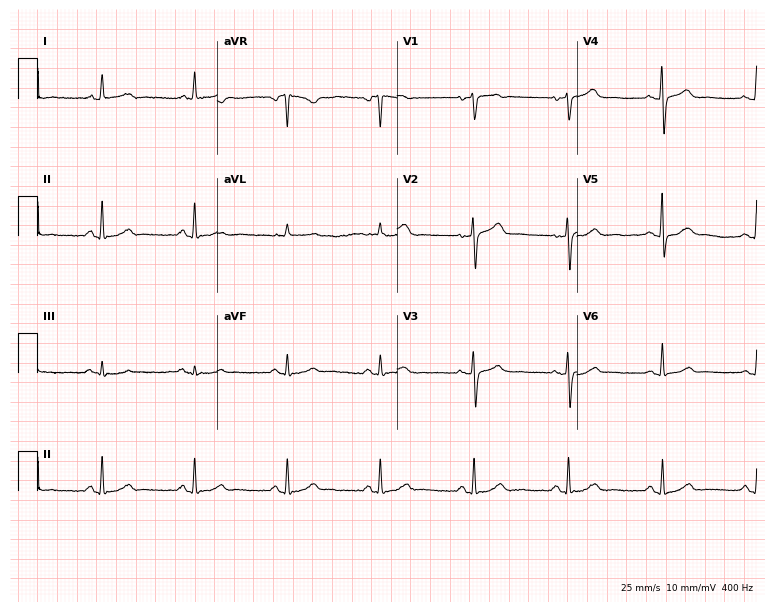
Resting 12-lead electrocardiogram. Patient: a 57-year-old female. Read as a normal ECG.